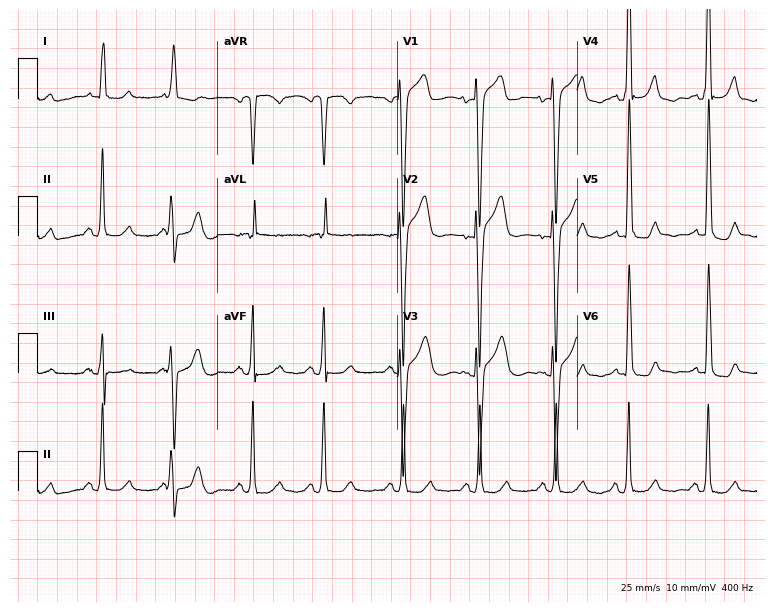
12-lead ECG from a female, 77 years old. Screened for six findings — first-degree AV block, right bundle branch block, left bundle branch block, sinus bradycardia, atrial fibrillation, sinus tachycardia — none is recorded.